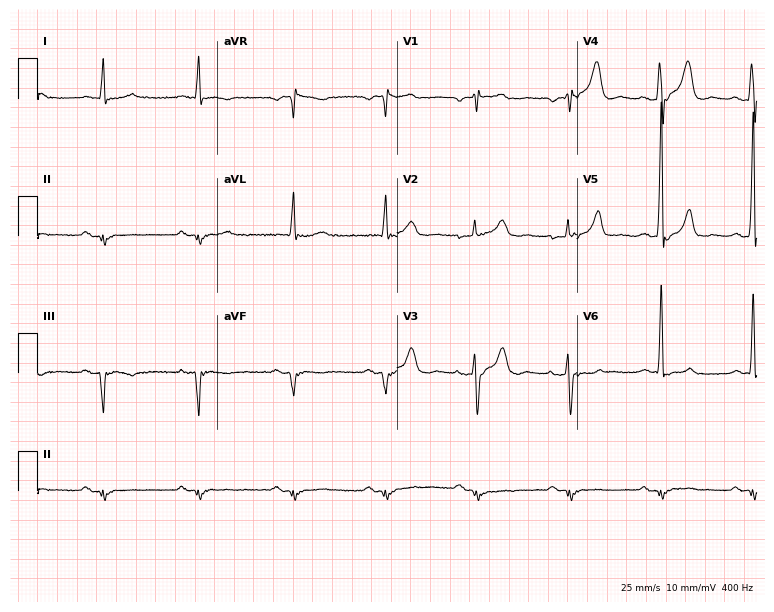
ECG — a 48-year-old male patient. Screened for six findings — first-degree AV block, right bundle branch block, left bundle branch block, sinus bradycardia, atrial fibrillation, sinus tachycardia — none is recorded.